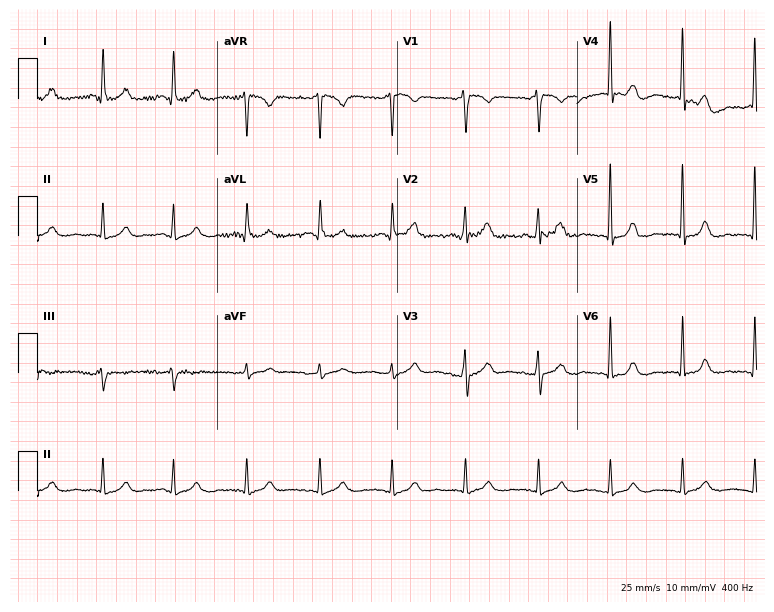
12-lead ECG from a female patient, 80 years old (7.3-second recording at 400 Hz). Recorded interpretation: within normal limits.